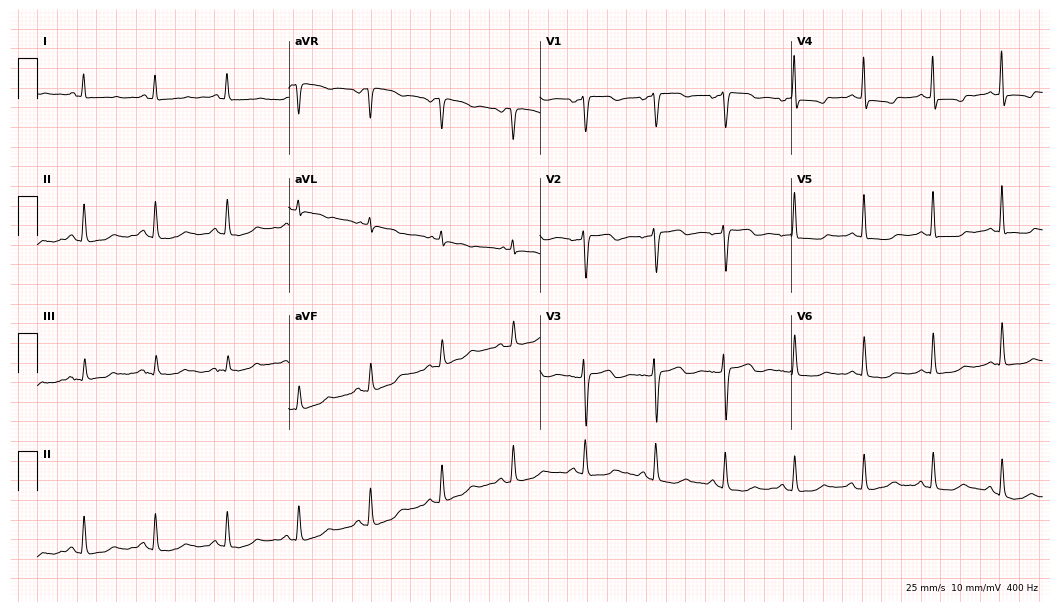
Standard 12-lead ECG recorded from a 74-year-old female (10.2-second recording at 400 Hz). None of these six findings is recorded: first-degree AV block, right bundle branch block, left bundle branch block, sinus bradycardia, atrial fibrillation, sinus tachycardia. Other findings, if any, are not listed.